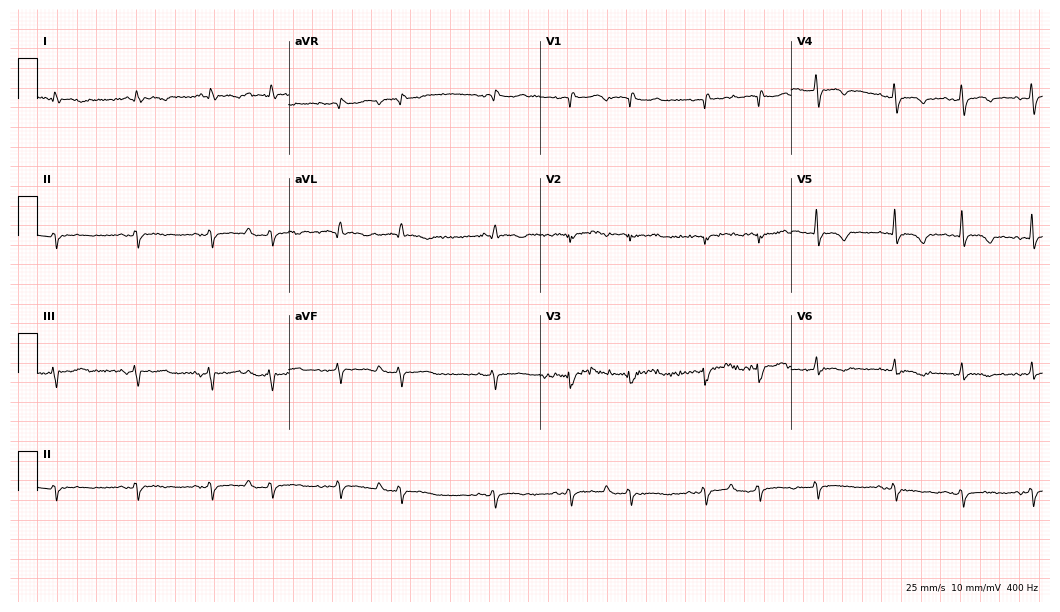
12-lead ECG from a 73-year-old male (10.2-second recording at 400 Hz). No first-degree AV block, right bundle branch block, left bundle branch block, sinus bradycardia, atrial fibrillation or sinus tachycardia recorded for this tracing.